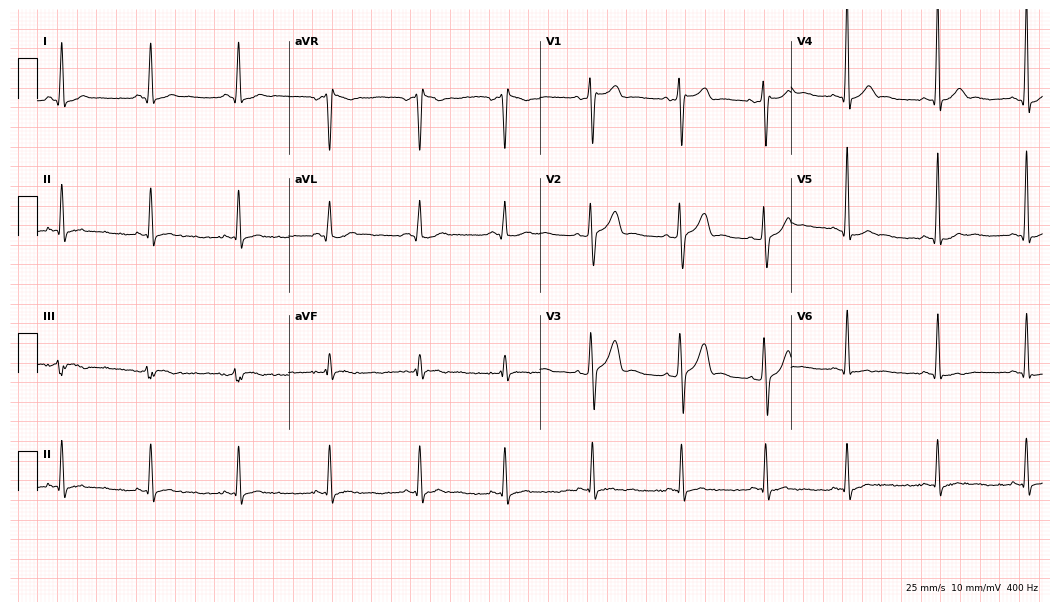
Electrocardiogram, a 22-year-old male patient. Of the six screened findings (first-degree AV block, right bundle branch block, left bundle branch block, sinus bradycardia, atrial fibrillation, sinus tachycardia), none is recorded.